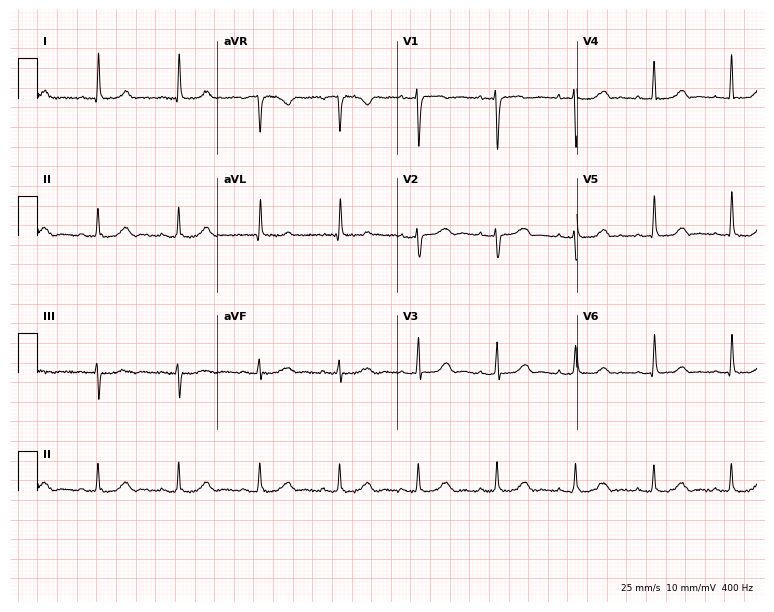
Resting 12-lead electrocardiogram. Patient: a female, 60 years old. Read as a normal ECG.